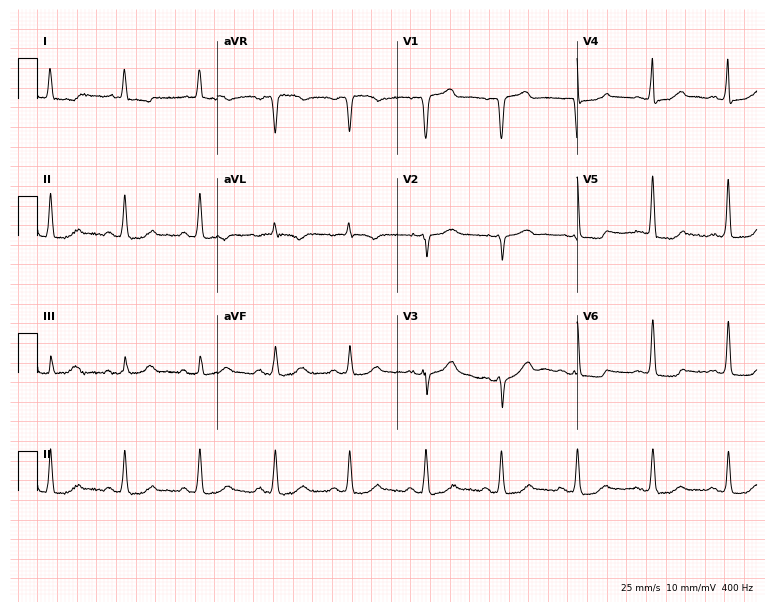
Electrocardiogram, a 75-year-old female patient. Of the six screened findings (first-degree AV block, right bundle branch block (RBBB), left bundle branch block (LBBB), sinus bradycardia, atrial fibrillation (AF), sinus tachycardia), none is recorded.